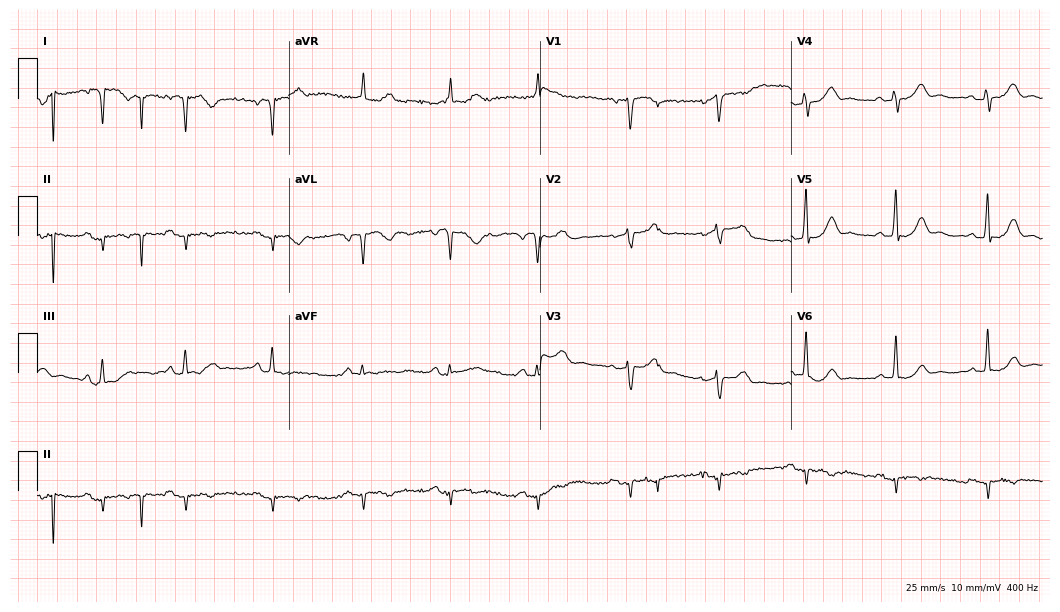
ECG (10.2-second recording at 400 Hz) — a 65-year-old female. Screened for six findings — first-degree AV block, right bundle branch block (RBBB), left bundle branch block (LBBB), sinus bradycardia, atrial fibrillation (AF), sinus tachycardia — none is recorded. Other findings, if any, are not listed.